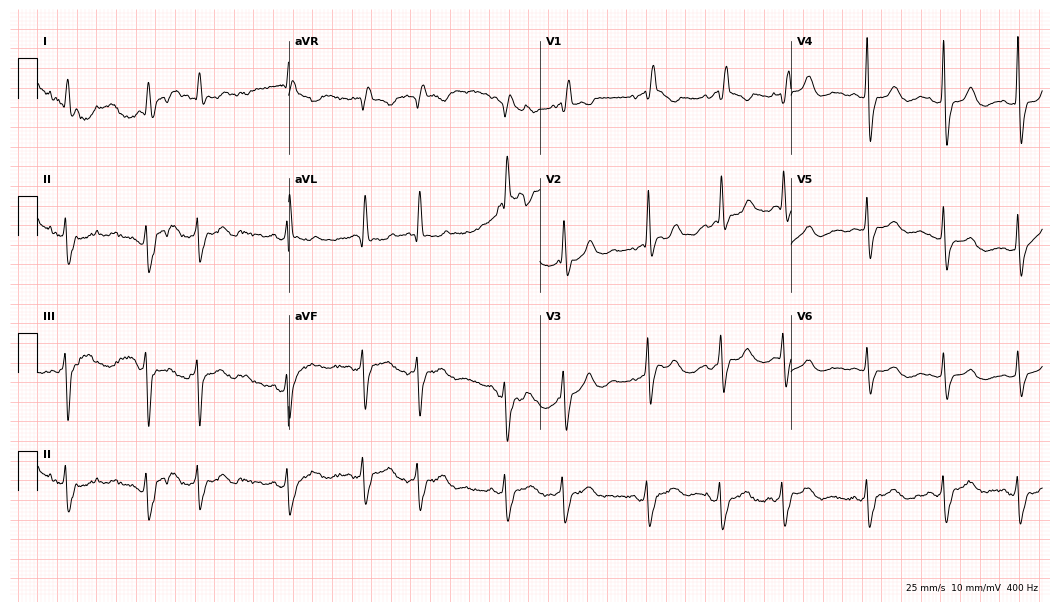
Electrocardiogram (10.2-second recording at 400 Hz), an 83-year-old woman. Of the six screened findings (first-degree AV block, right bundle branch block, left bundle branch block, sinus bradycardia, atrial fibrillation, sinus tachycardia), none is recorded.